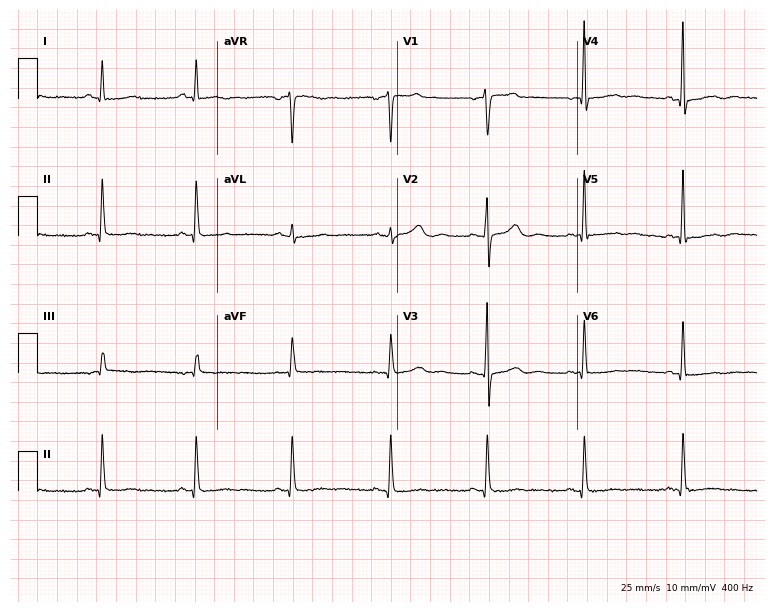
Resting 12-lead electrocardiogram (7.3-second recording at 400 Hz). Patient: a 41-year-old female. None of these six findings is recorded: first-degree AV block, right bundle branch block, left bundle branch block, sinus bradycardia, atrial fibrillation, sinus tachycardia. Other findings, if any, are not listed.